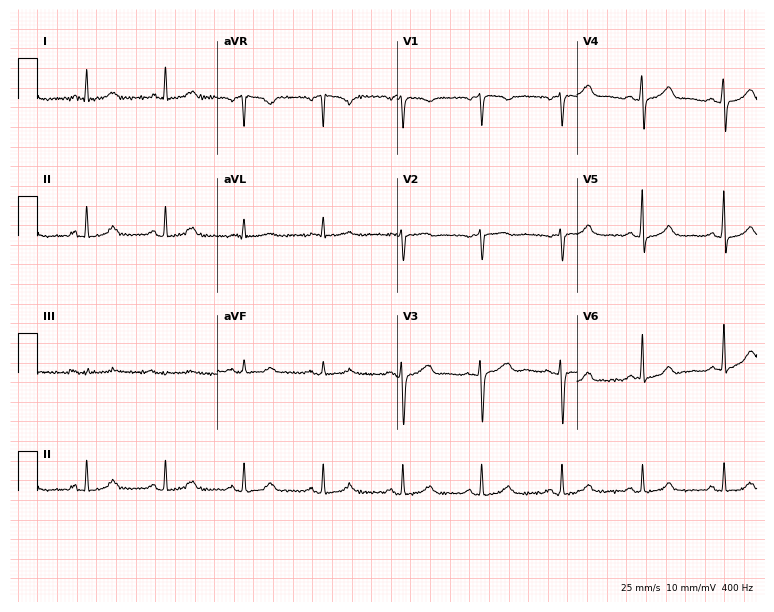
Standard 12-lead ECG recorded from a woman, 64 years old (7.3-second recording at 400 Hz). None of these six findings is recorded: first-degree AV block, right bundle branch block (RBBB), left bundle branch block (LBBB), sinus bradycardia, atrial fibrillation (AF), sinus tachycardia.